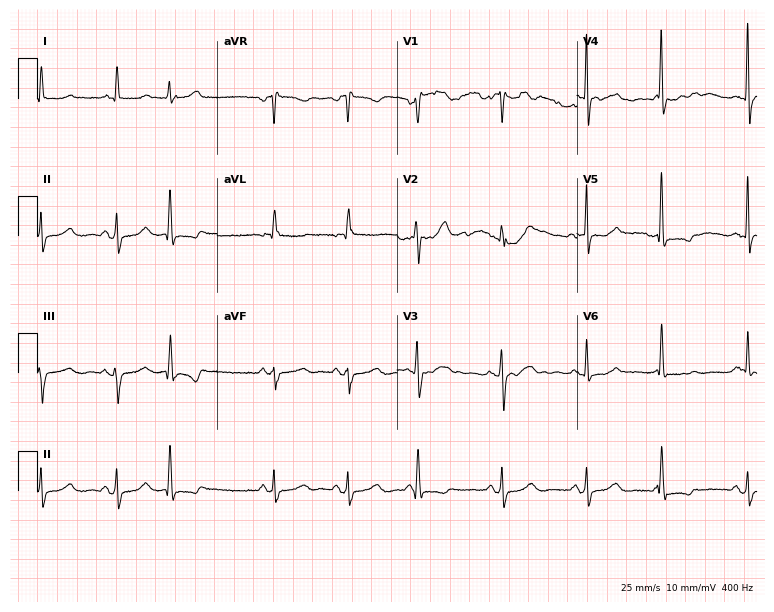
12-lead ECG (7.3-second recording at 400 Hz) from a female patient, 43 years old. Screened for six findings — first-degree AV block, right bundle branch block, left bundle branch block, sinus bradycardia, atrial fibrillation, sinus tachycardia — none is recorded.